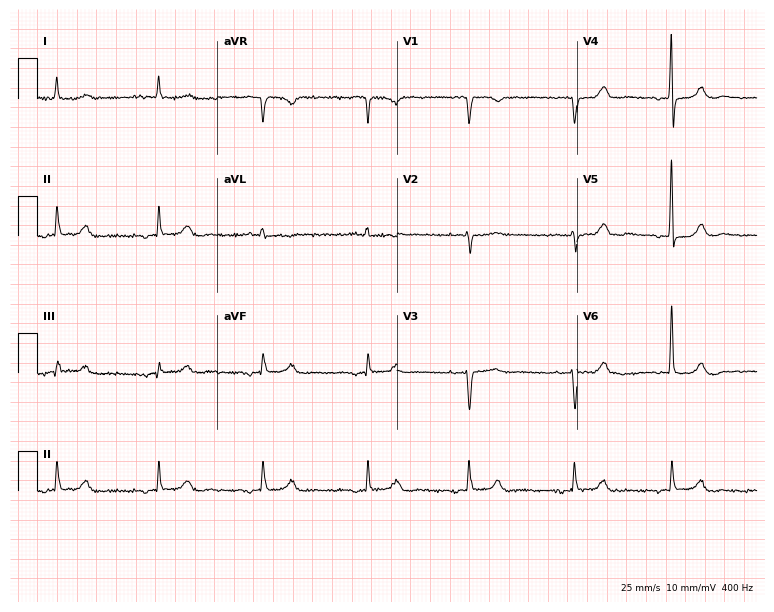
Electrocardiogram (7.3-second recording at 400 Hz), an 81-year-old female. Of the six screened findings (first-degree AV block, right bundle branch block, left bundle branch block, sinus bradycardia, atrial fibrillation, sinus tachycardia), none is recorded. Only these six findings were labelled.